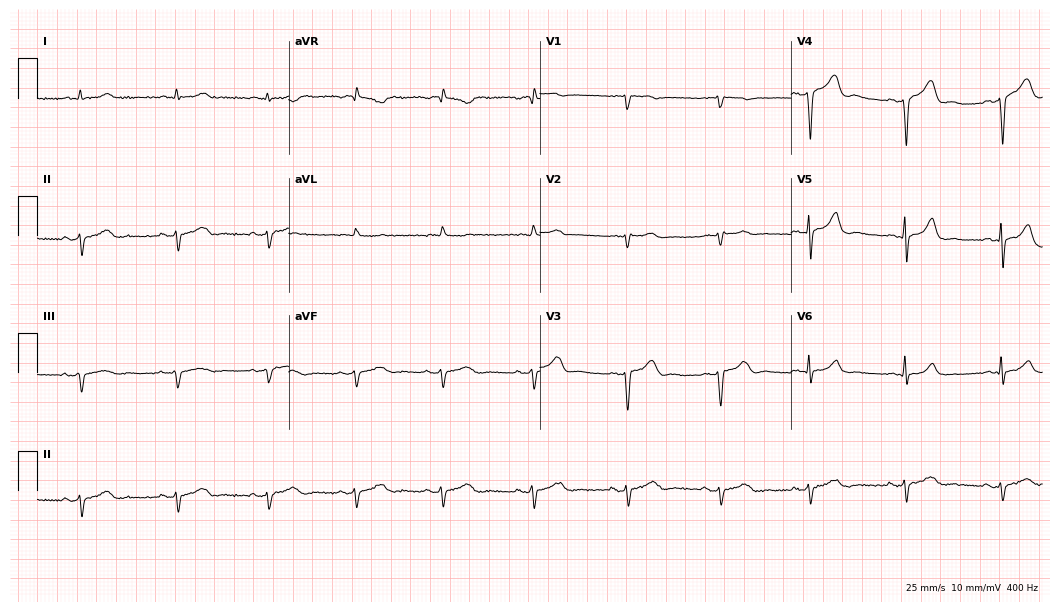
Resting 12-lead electrocardiogram. Patient: a man, 48 years old. None of these six findings is recorded: first-degree AV block, right bundle branch block, left bundle branch block, sinus bradycardia, atrial fibrillation, sinus tachycardia. Other findings, if any, are not listed.